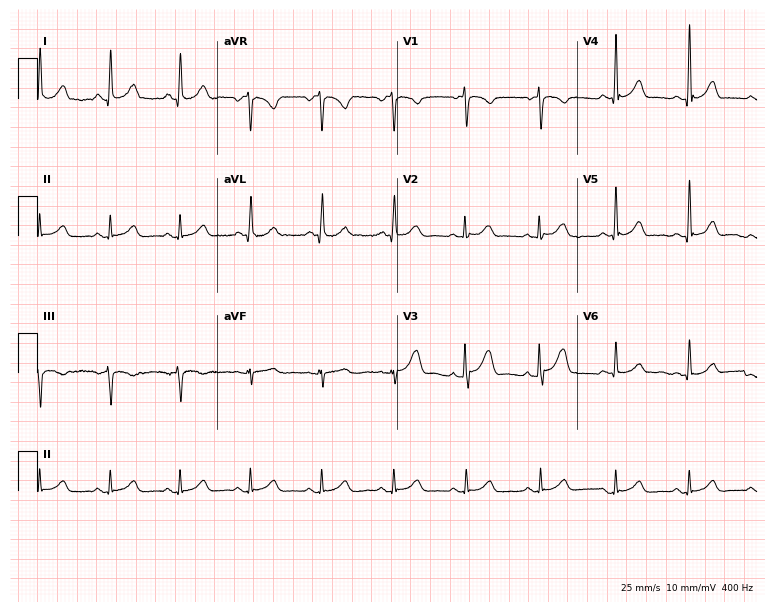
12-lead ECG from a female patient, 57 years old. Recorded interpretation: within normal limits.